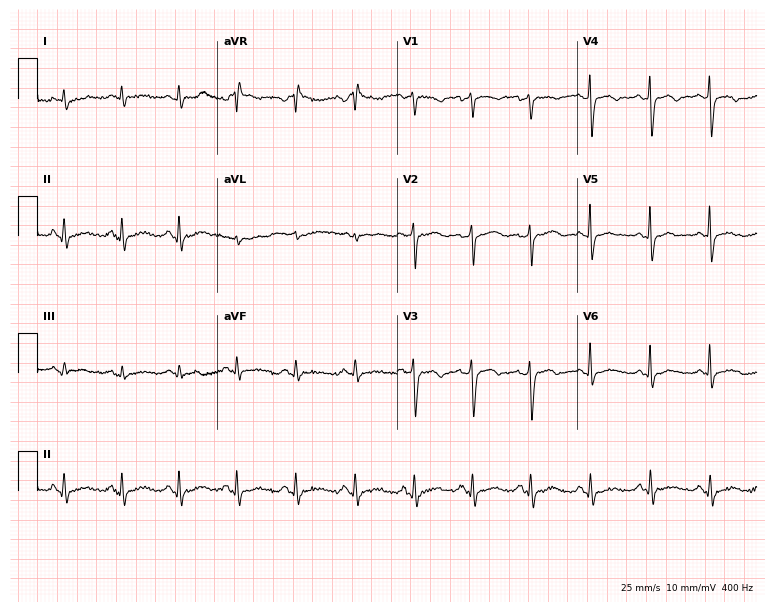
12-lead ECG from a 51-year-old woman. Screened for six findings — first-degree AV block, right bundle branch block (RBBB), left bundle branch block (LBBB), sinus bradycardia, atrial fibrillation (AF), sinus tachycardia — none is recorded.